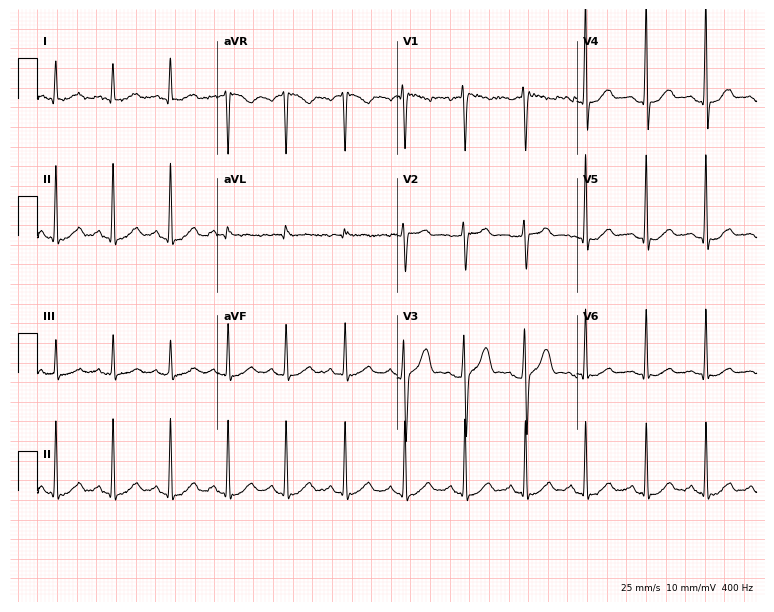
12-lead ECG (7.3-second recording at 400 Hz) from a male, 42 years old. Screened for six findings — first-degree AV block, right bundle branch block, left bundle branch block, sinus bradycardia, atrial fibrillation, sinus tachycardia — none is recorded. Findings outside these six are not listed.